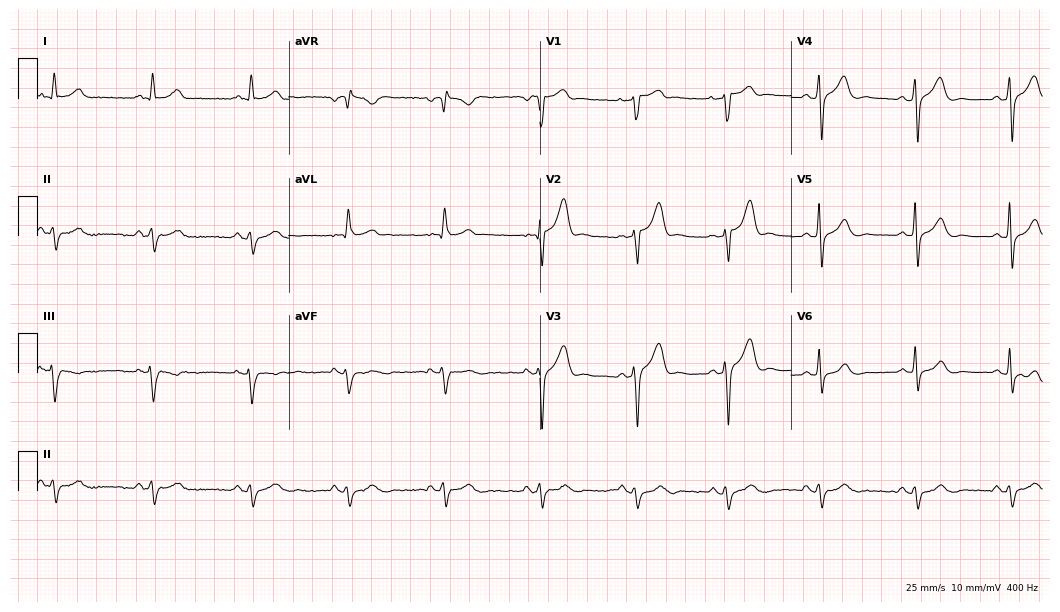
Electrocardiogram (10.2-second recording at 400 Hz), a male patient, 56 years old. Of the six screened findings (first-degree AV block, right bundle branch block, left bundle branch block, sinus bradycardia, atrial fibrillation, sinus tachycardia), none is recorded. Other findings, if any, are not listed.